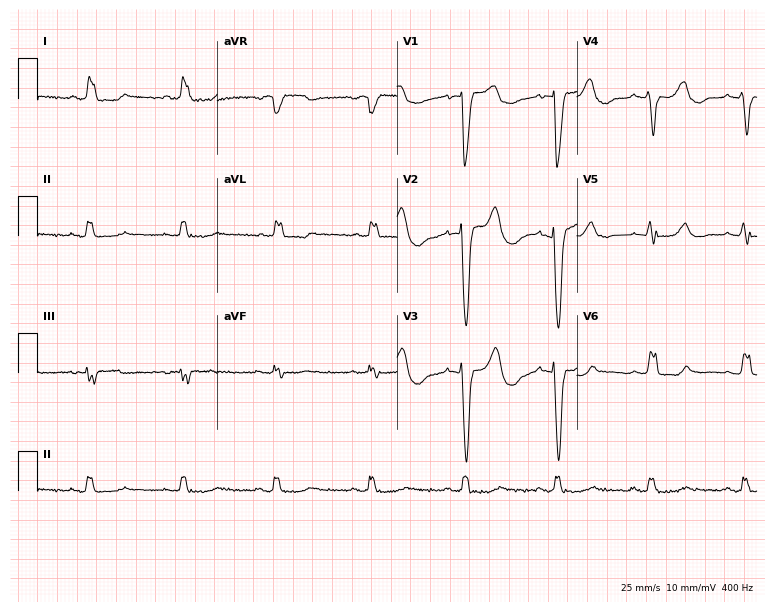
12-lead ECG from a 72-year-old female patient. Shows left bundle branch block.